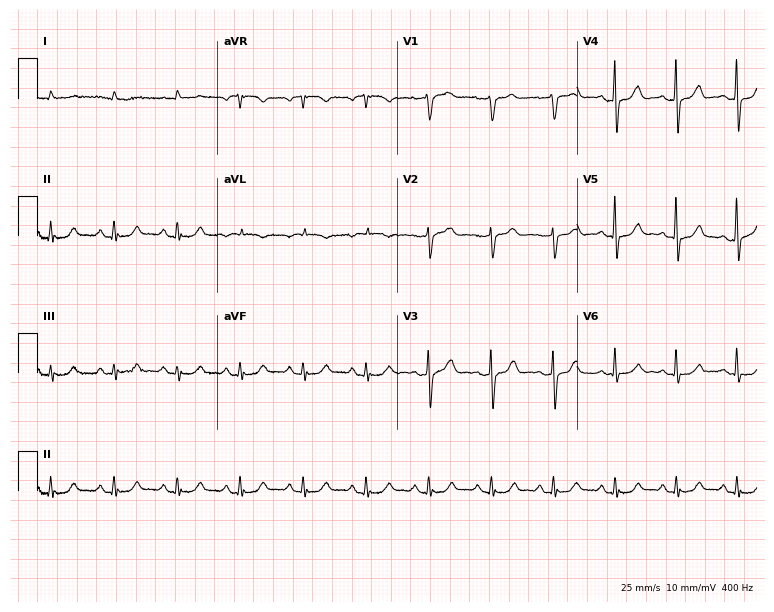
Electrocardiogram, a 68-year-old male patient. Of the six screened findings (first-degree AV block, right bundle branch block (RBBB), left bundle branch block (LBBB), sinus bradycardia, atrial fibrillation (AF), sinus tachycardia), none is recorded. Other findings, if any, are not listed.